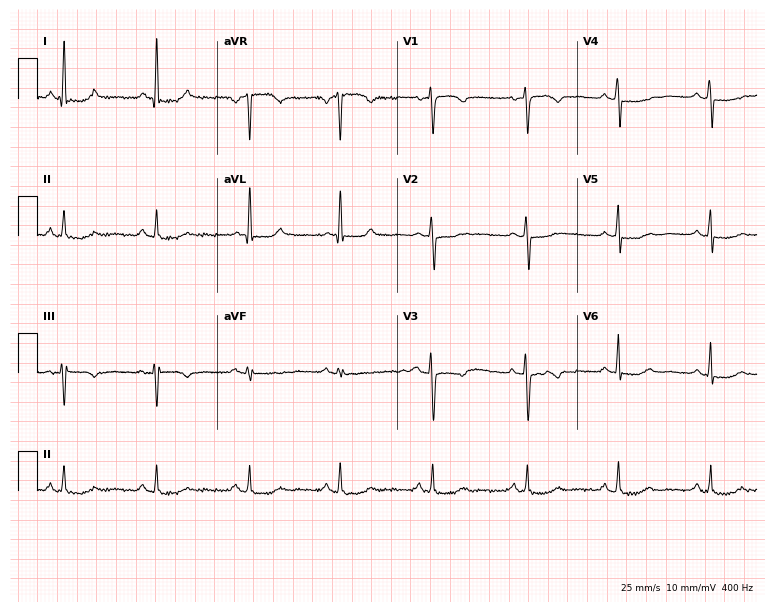
Electrocardiogram, a 60-year-old woman. Of the six screened findings (first-degree AV block, right bundle branch block, left bundle branch block, sinus bradycardia, atrial fibrillation, sinus tachycardia), none is recorded. Findings outside these six are not listed.